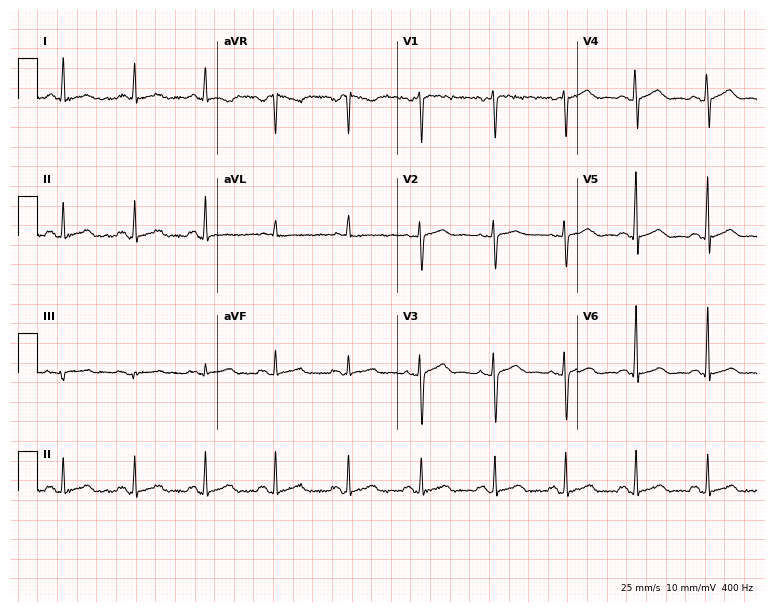
Electrocardiogram, a 34-year-old woman. Overall reading on record: normal ECG.